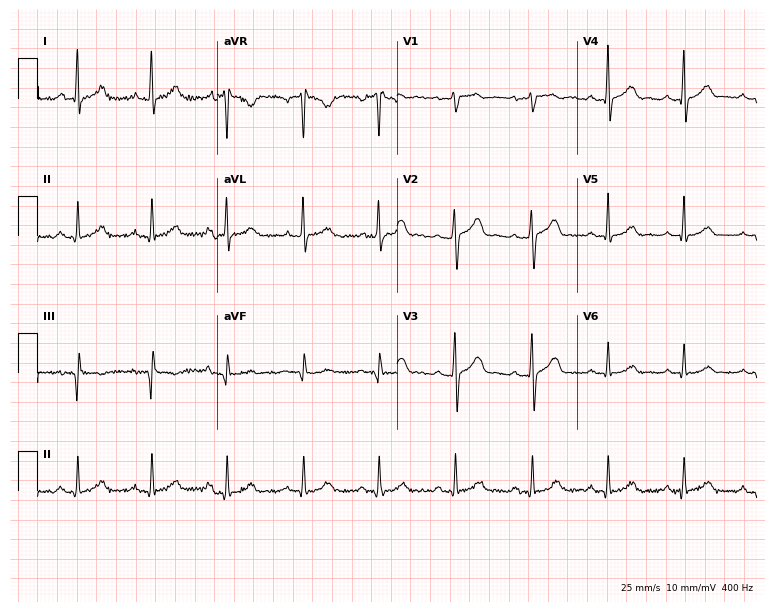
Electrocardiogram (7.3-second recording at 400 Hz), a 40-year-old male patient. Of the six screened findings (first-degree AV block, right bundle branch block, left bundle branch block, sinus bradycardia, atrial fibrillation, sinus tachycardia), none is recorded.